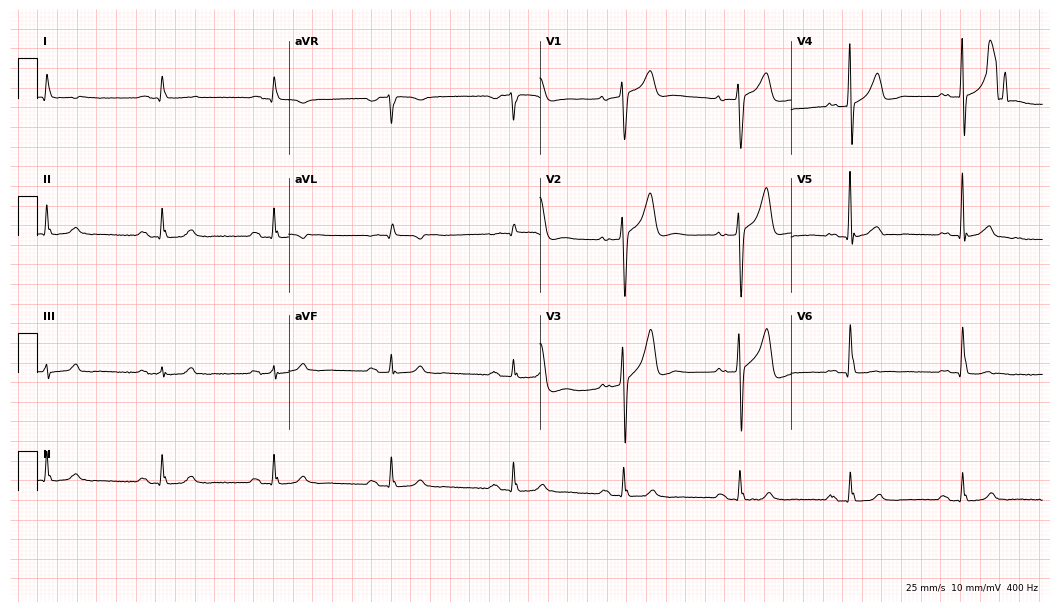
12-lead ECG from a 51-year-old male patient (10.2-second recording at 400 Hz). No first-degree AV block, right bundle branch block (RBBB), left bundle branch block (LBBB), sinus bradycardia, atrial fibrillation (AF) or sinus tachycardia recorded for this tracing. Findings outside these six are not listed.